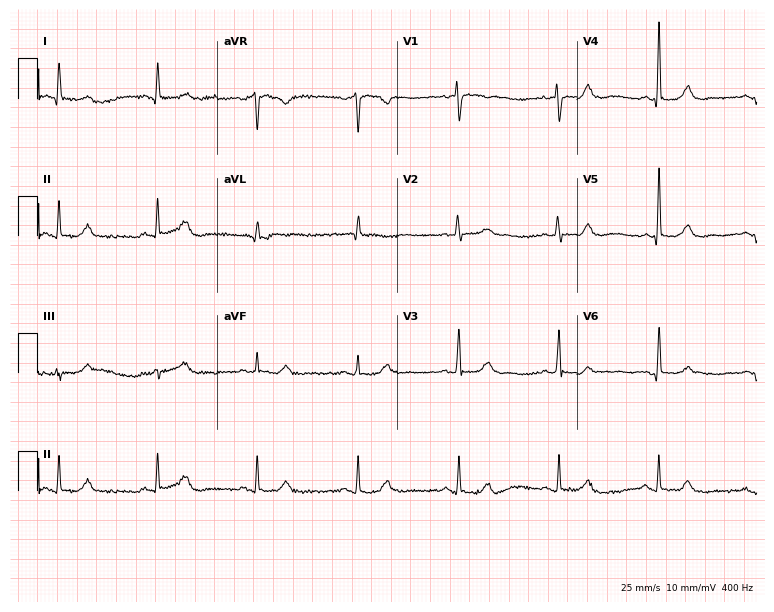
12-lead ECG (7.3-second recording at 400 Hz) from a woman, 58 years old. Labelled as a normal ECG.